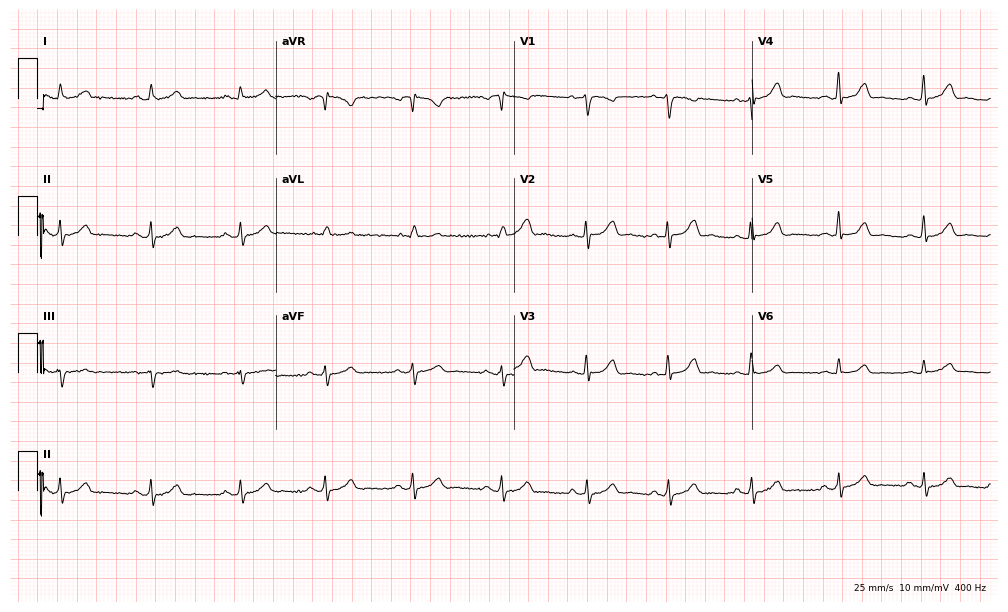
ECG — a 19-year-old female patient. Labelled as a normal ECG.